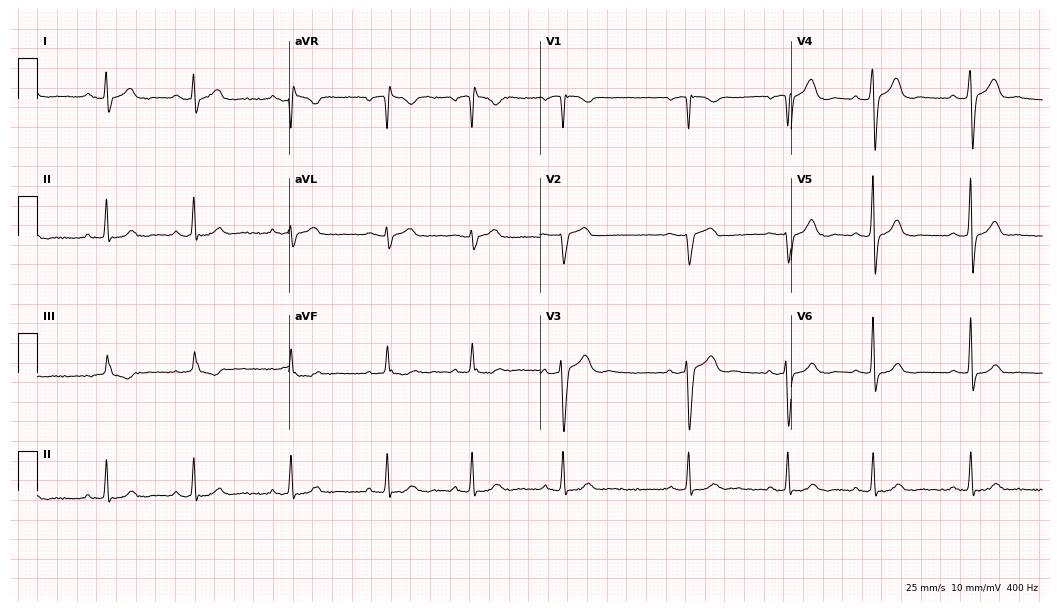
Resting 12-lead electrocardiogram (10.2-second recording at 400 Hz). Patient: a 30-year-old male. None of these six findings is recorded: first-degree AV block, right bundle branch block, left bundle branch block, sinus bradycardia, atrial fibrillation, sinus tachycardia. Only these six findings were labelled.